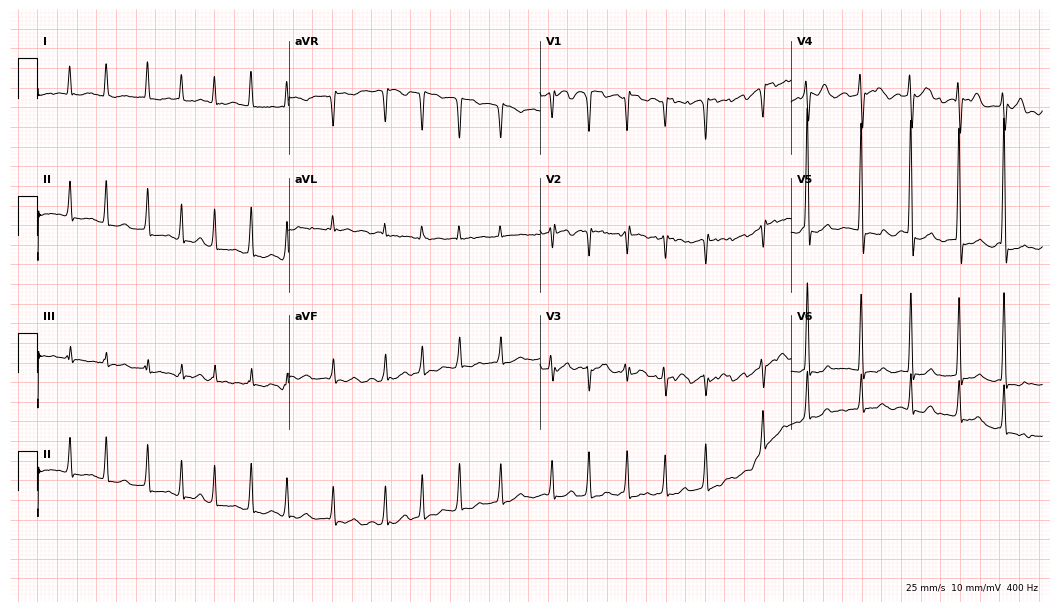
Resting 12-lead electrocardiogram (10.2-second recording at 400 Hz). Patient: a female, 64 years old. The tracing shows atrial fibrillation.